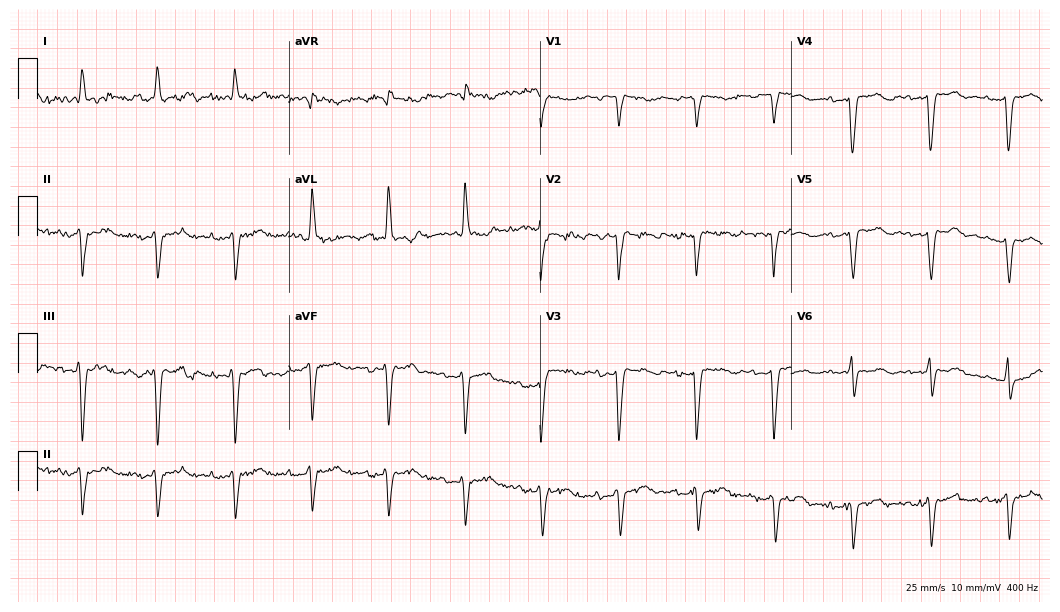
Resting 12-lead electrocardiogram. Patient: a woman, 76 years old. None of these six findings is recorded: first-degree AV block, right bundle branch block, left bundle branch block, sinus bradycardia, atrial fibrillation, sinus tachycardia. Findings outside these six are not listed.